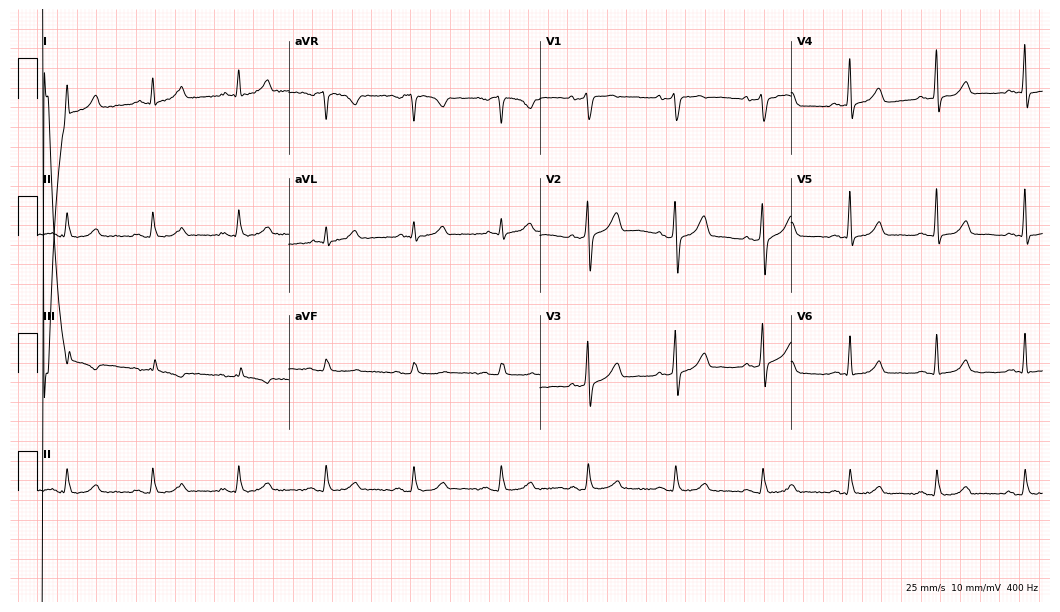
12-lead ECG from a man, 60 years old (10.2-second recording at 400 Hz). No first-degree AV block, right bundle branch block, left bundle branch block, sinus bradycardia, atrial fibrillation or sinus tachycardia recorded for this tracing. Other findings, if any, are not listed.